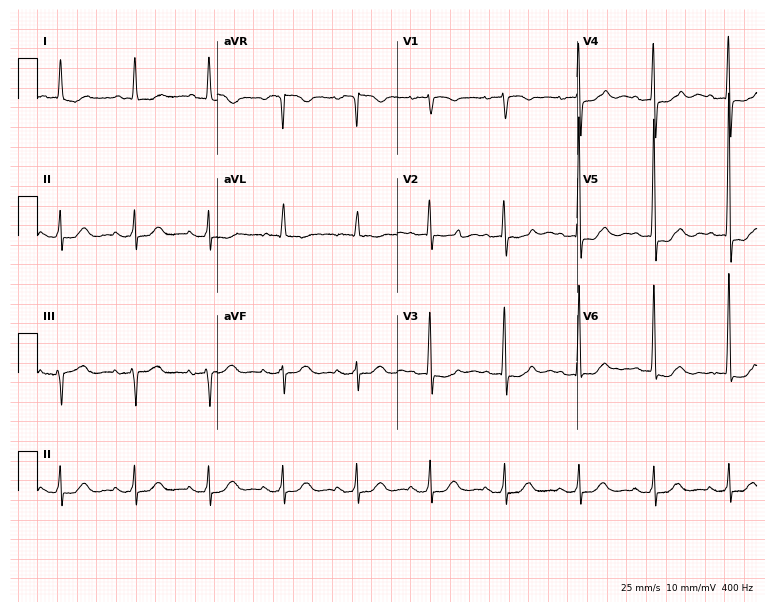
Standard 12-lead ECG recorded from a female patient, 83 years old. None of these six findings is recorded: first-degree AV block, right bundle branch block, left bundle branch block, sinus bradycardia, atrial fibrillation, sinus tachycardia.